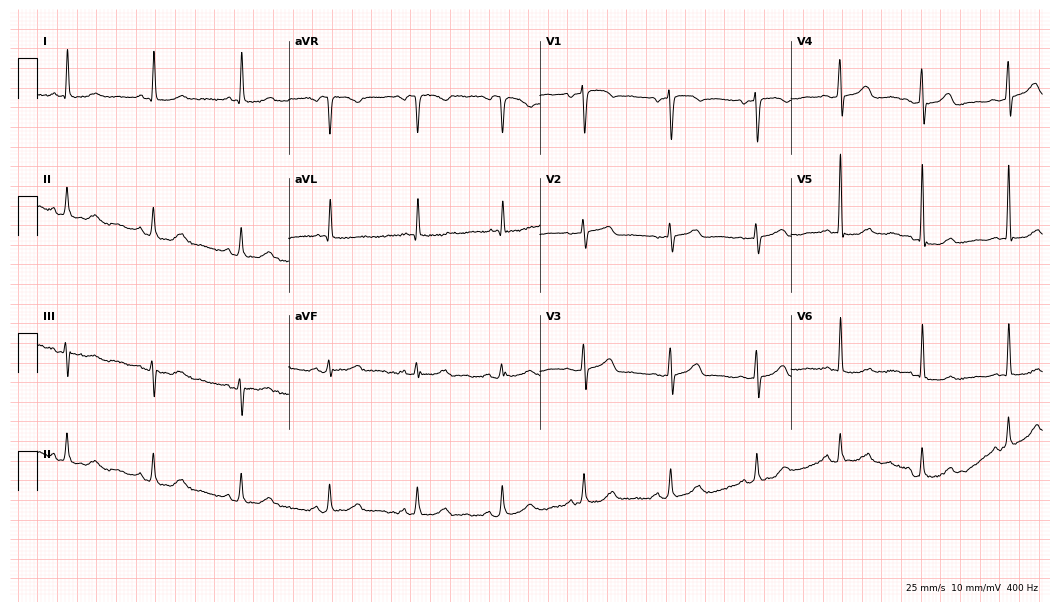
Electrocardiogram (10.2-second recording at 400 Hz), a 75-year-old female. Overall reading on record: normal ECG.